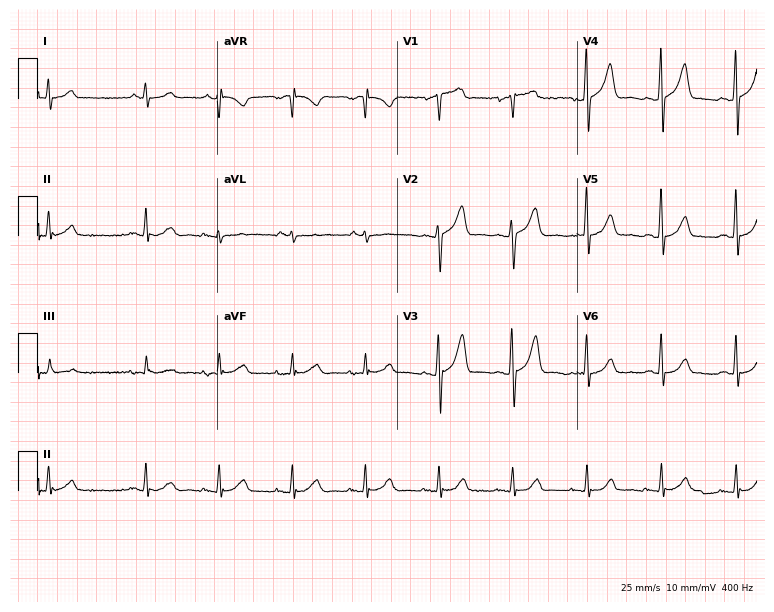
12-lead ECG from a 63-year-old male patient (7.3-second recording at 400 Hz). No first-degree AV block, right bundle branch block (RBBB), left bundle branch block (LBBB), sinus bradycardia, atrial fibrillation (AF) or sinus tachycardia recorded for this tracing. Other findings, if any, are not listed.